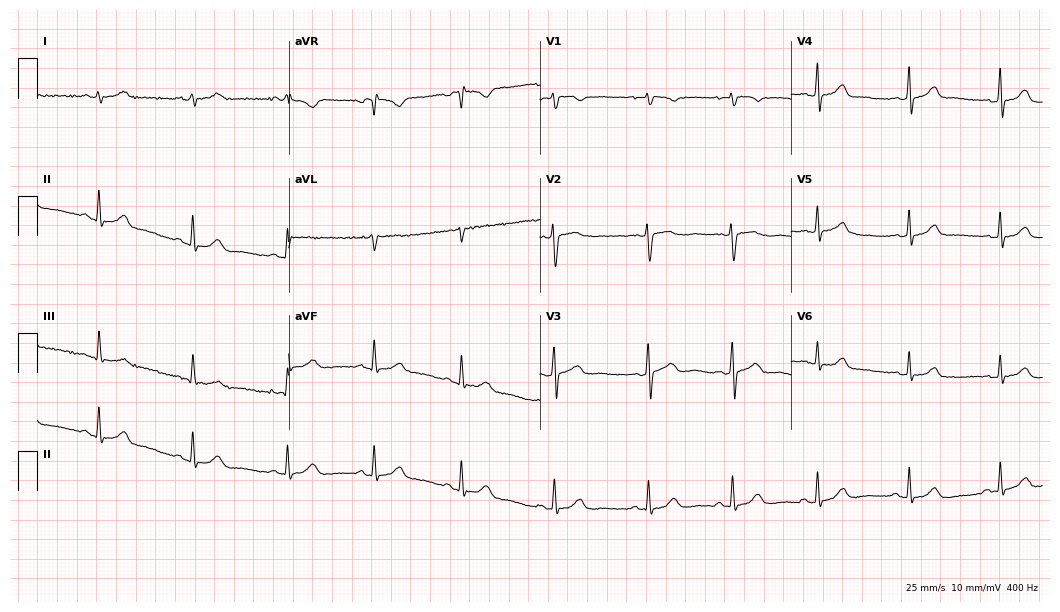
Standard 12-lead ECG recorded from a female patient, 20 years old. Read as a normal ECG.